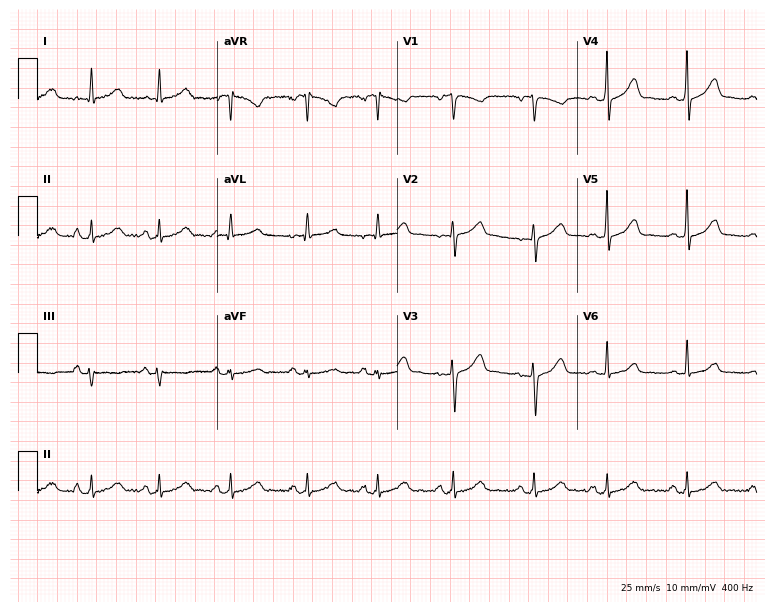
12-lead ECG (7.3-second recording at 400 Hz) from a female, 40 years old. Labelled as a normal ECG.